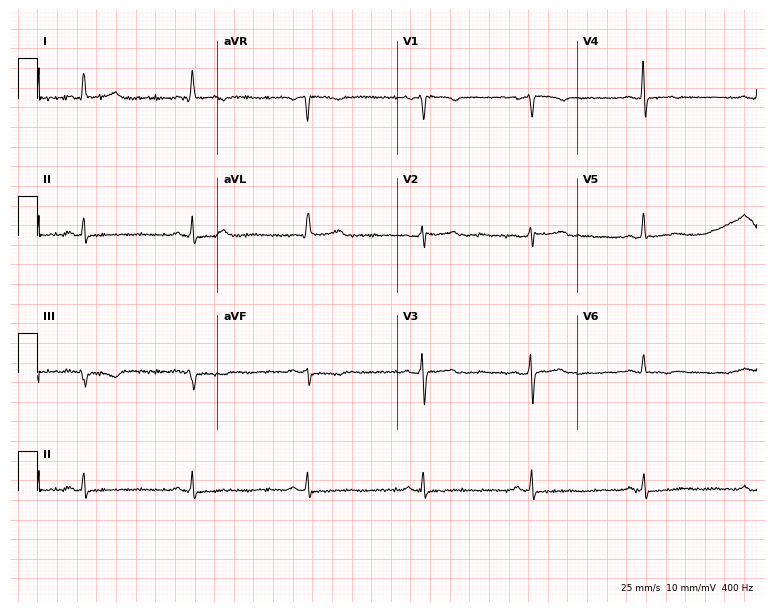
Standard 12-lead ECG recorded from a 58-year-old female (7.3-second recording at 400 Hz). None of these six findings is recorded: first-degree AV block, right bundle branch block, left bundle branch block, sinus bradycardia, atrial fibrillation, sinus tachycardia.